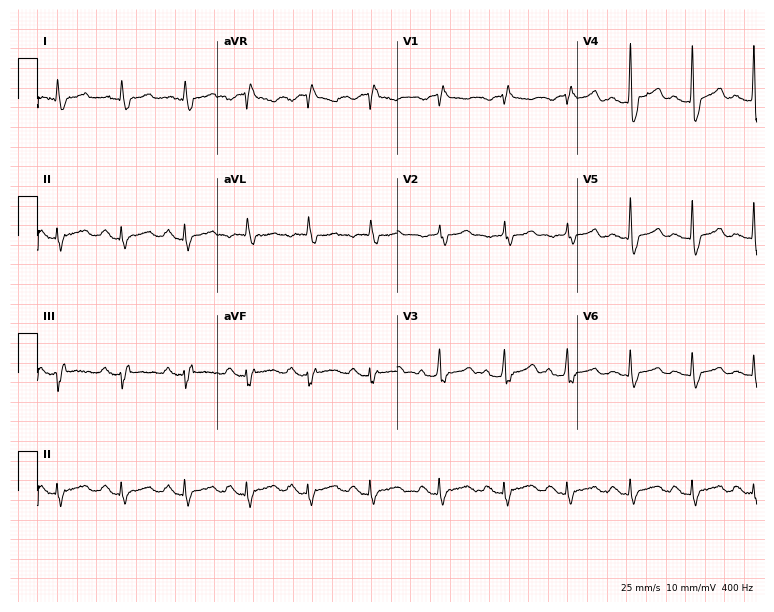
12-lead ECG (7.3-second recording at 400 Hz) from an 84-year-old female. Findings include right bundle branch block.